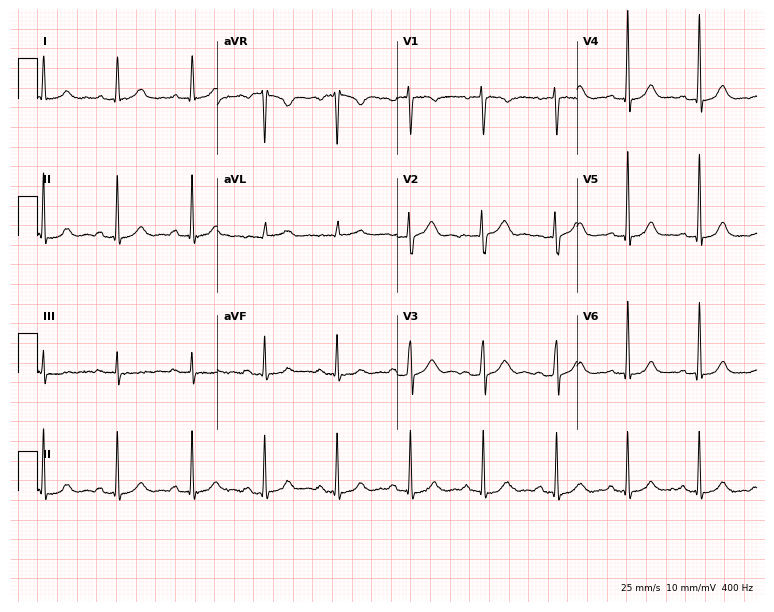
ECG — a female patient, 36 years old. Labelled as a normal ECG.